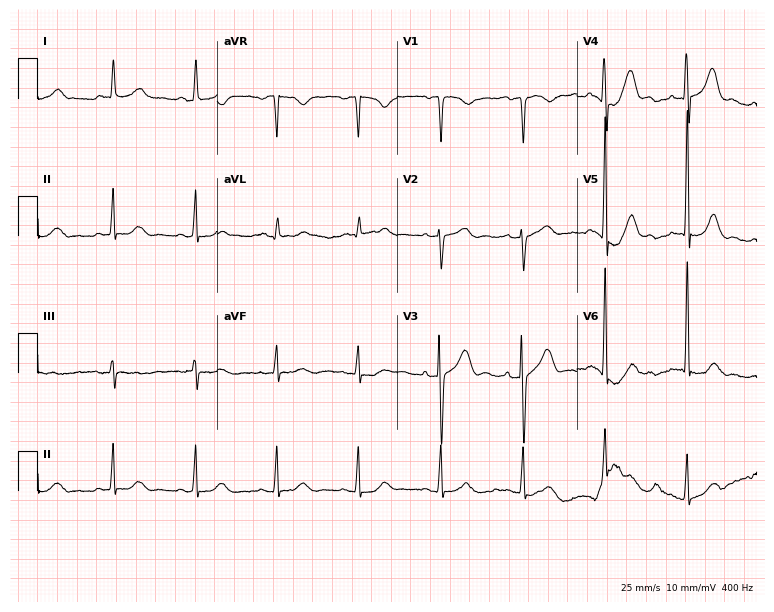
Standard 12-lead ECG recorded from a 69-year-old male (7.3-second recording at 400 Hz). Read as a normal ECG.